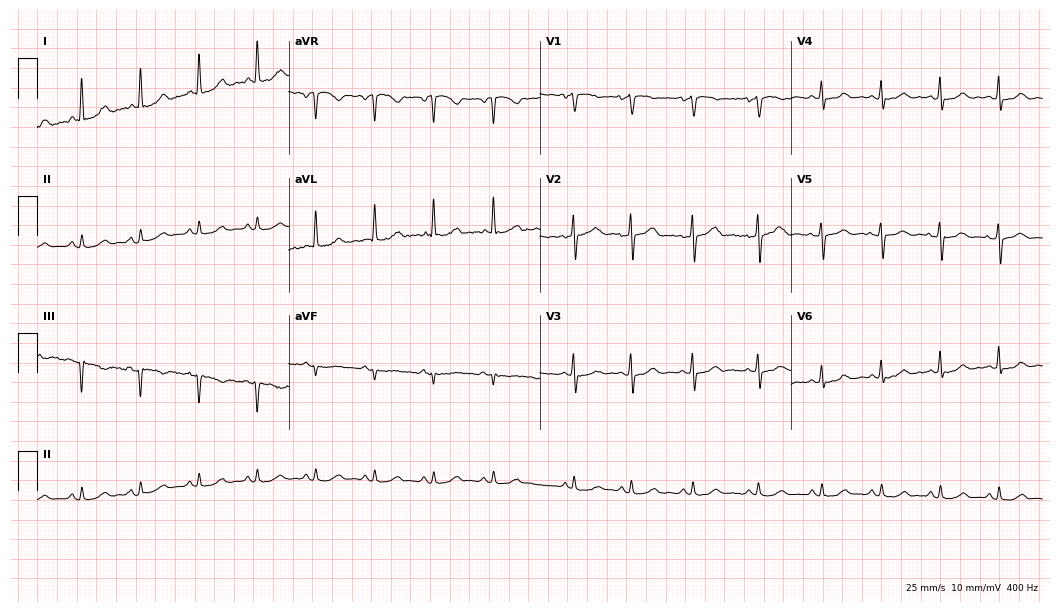
12-lead ECG from a woman, 64 years old. Screened for six findings — first-degree AV block, right bundle branch block, left bundle branch block, sinus bradycardia, atrial fibrillation, sinus tachycardia — none is recorded.